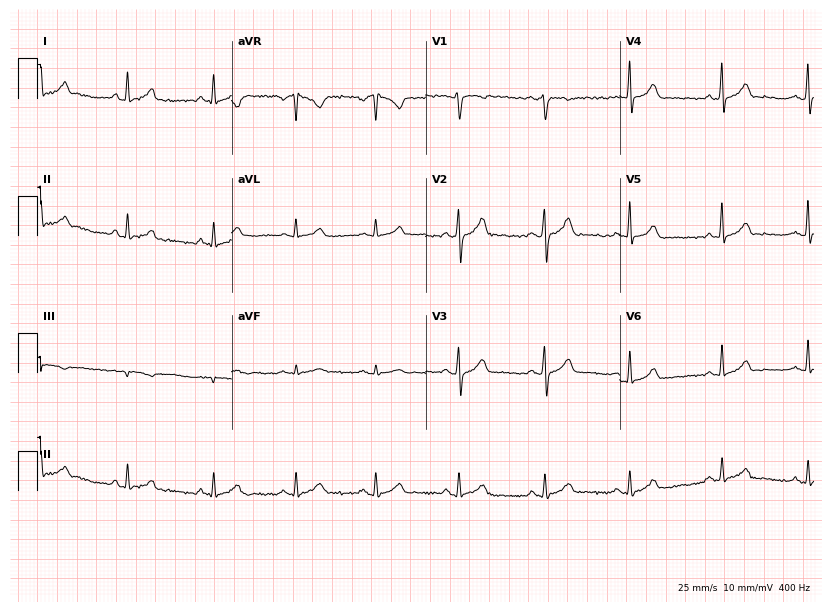
12-lead ECG from a 32-year-old man (7.9-second recording at 400 Hz). Recorded interpretation: within normal limits.